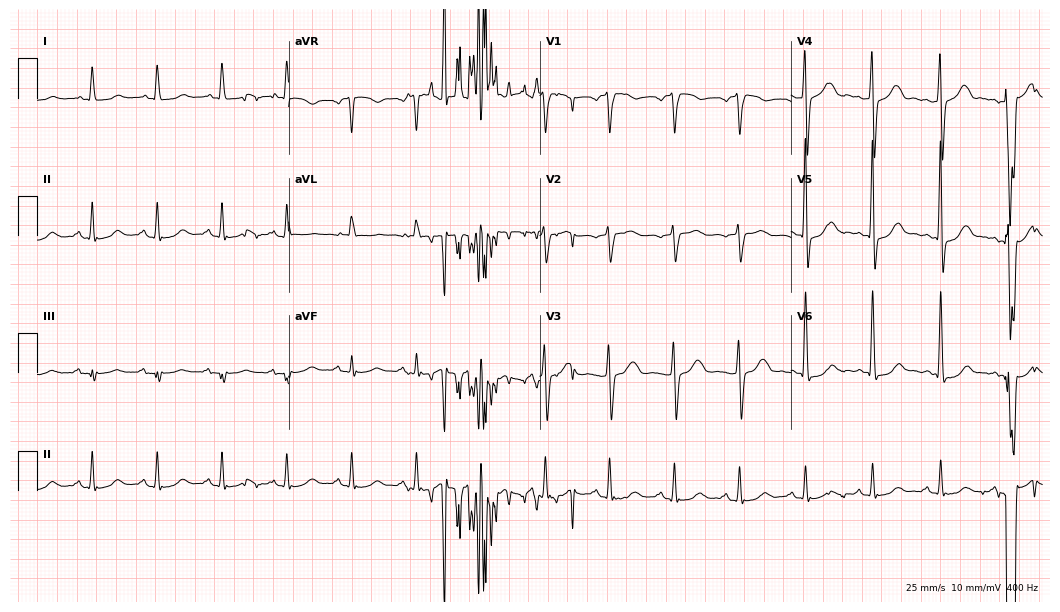
Standard 12-lead ECG recorded from a male, 57 years old (10.2-second recording at 400 Hz). None of these six findings is recorded: first-degree AV block, right bundle branch block, left bundle branch block, sinus bradycardia, atrial fibrillation, sinus tachycardia.